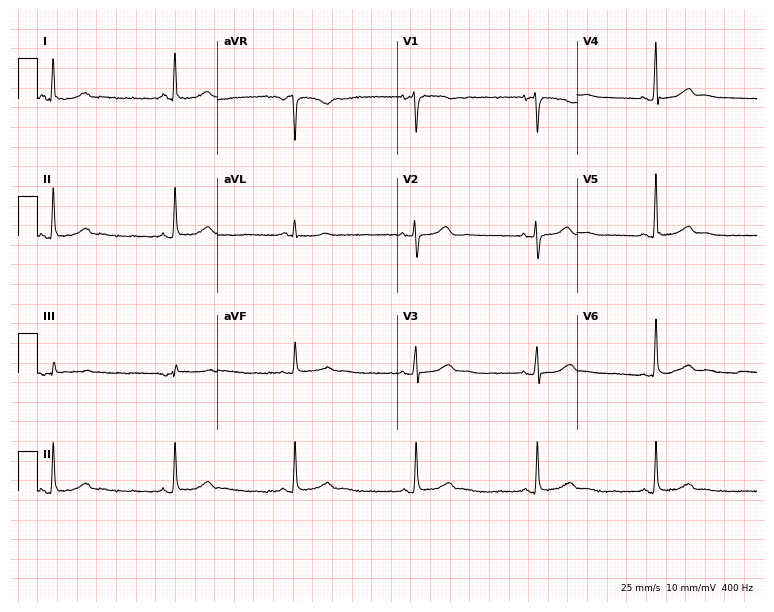
12-lead ECG from a female patient, 59 years old. Findings include sinus bradycardia (a sinus rate of 50 beats per minute or less).